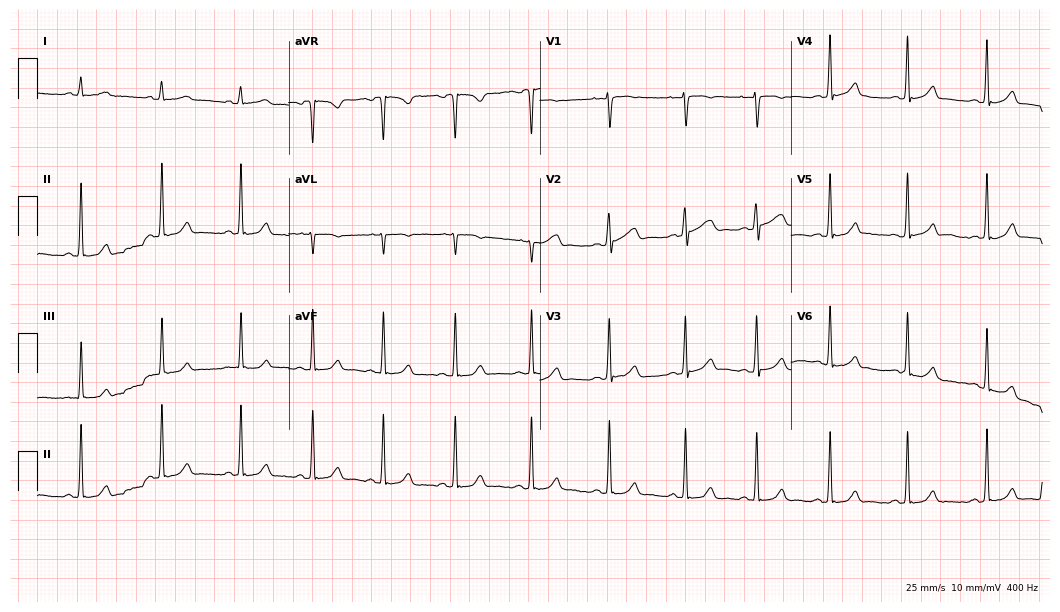
Electrocardiogram, a female, 19 years old. Overall reading on record: normal ECG.